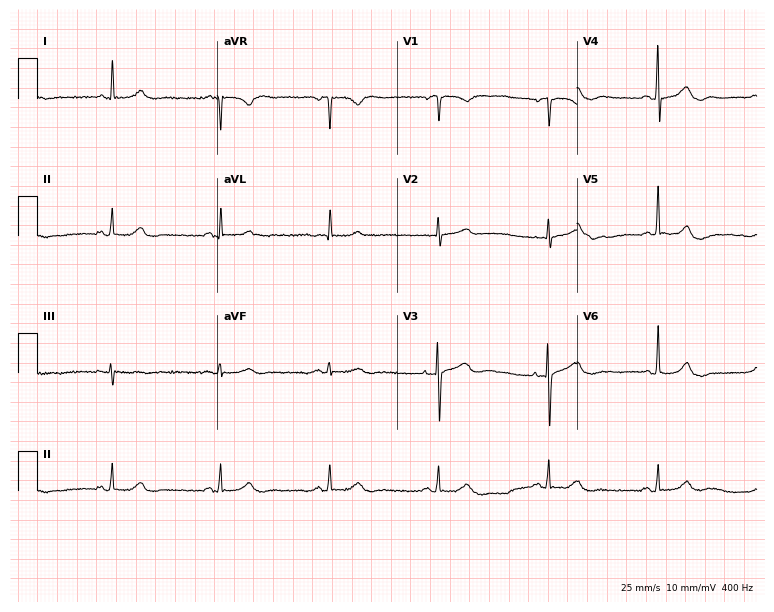
Electrocardiogram (7.3-second recording at 400 Hz), a 76-year-old woman. Overall reading on record: normal ECG.